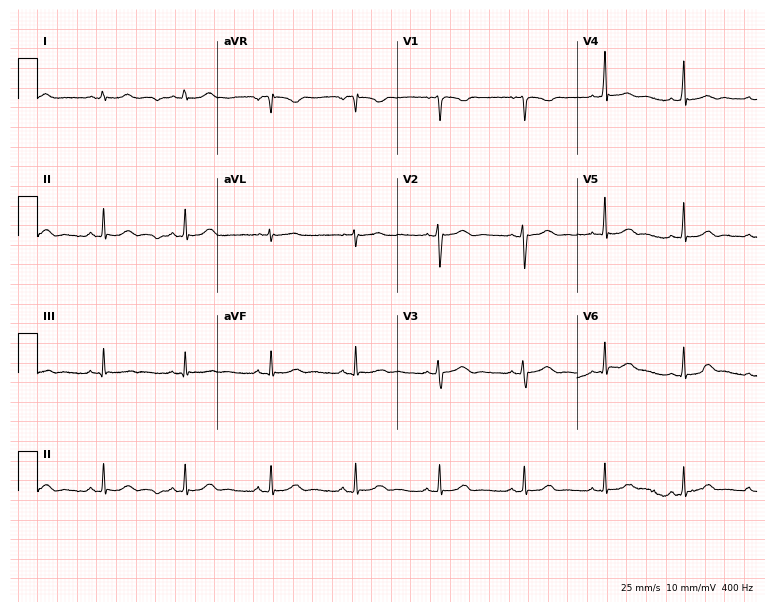
Standard 12-lead ECG recorded from a 22-year-old female patient (7.3-second recording at 400 Hz). Read as a normal ECG.